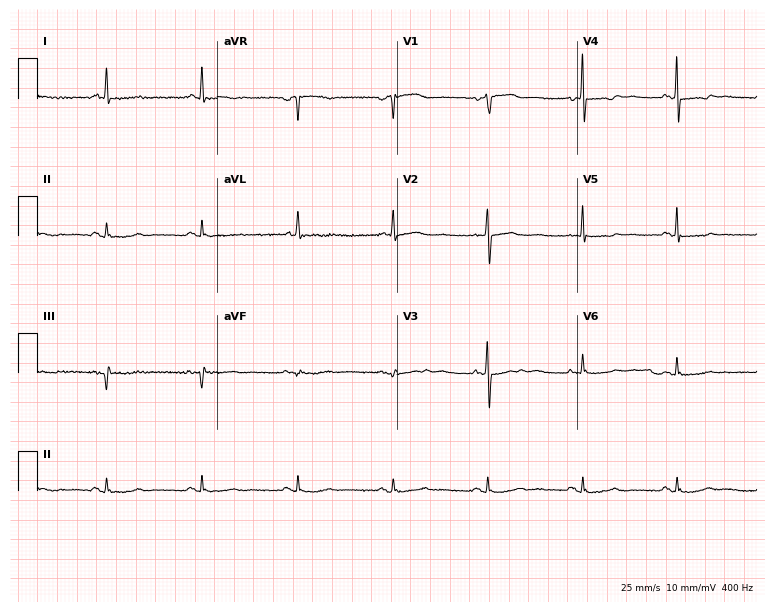
Standard 12-lead ECG recorded from a female, 83 years old (7.3-second recording at 400 Hz). None of these six findings is recorded: first-degree AV block, right bundle branch block (RBBB), left bundle branch block (LBBB), sinus bradycardia, atrial fibrillation (AF), sinus tachycardia.